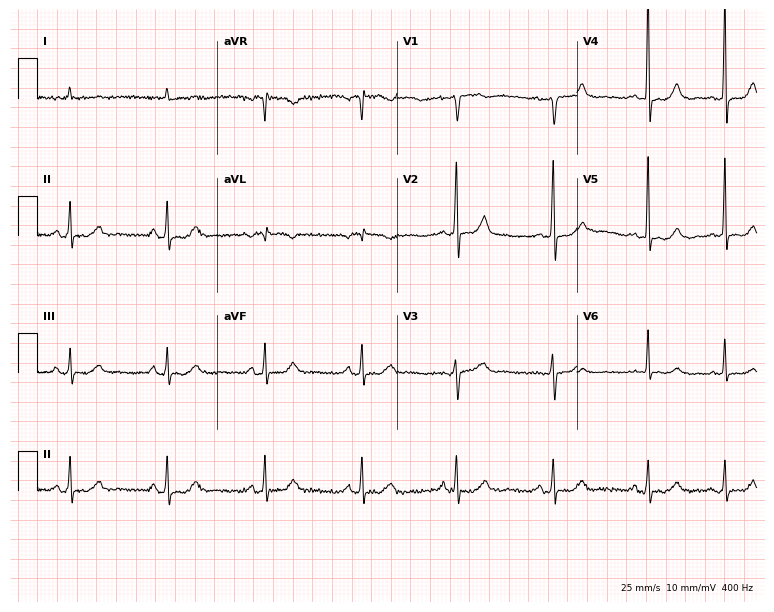
Standard 12-lead ECG recorded from a 76-year-old male patient (7.3-second recording at 400 Hz). None of these six findings is recorded: first-degree AV block, right bundle branch block, left bundle branch block, sinus bradycardia, atrial fibrillation, sinus tachycardia. Findings outside these six are not listed.